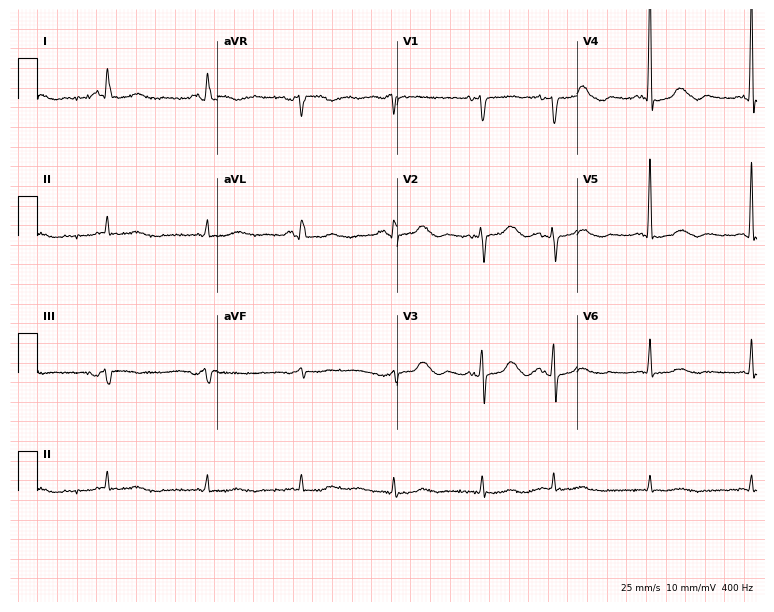
Electrocardiogram, a 70-year-old female. Overall reading on record: normal ECG.